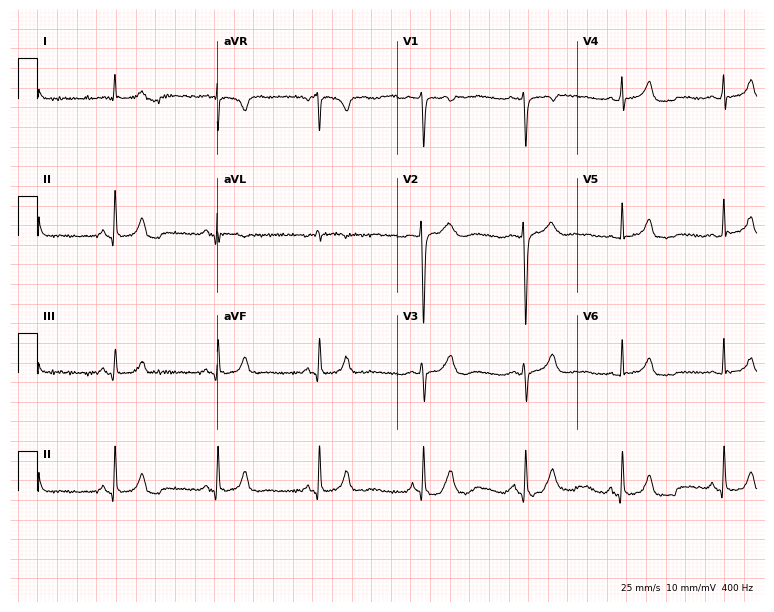
Standard 12-lead ECG recorded from a 41-year-old female patient. Read as a normal ECG.